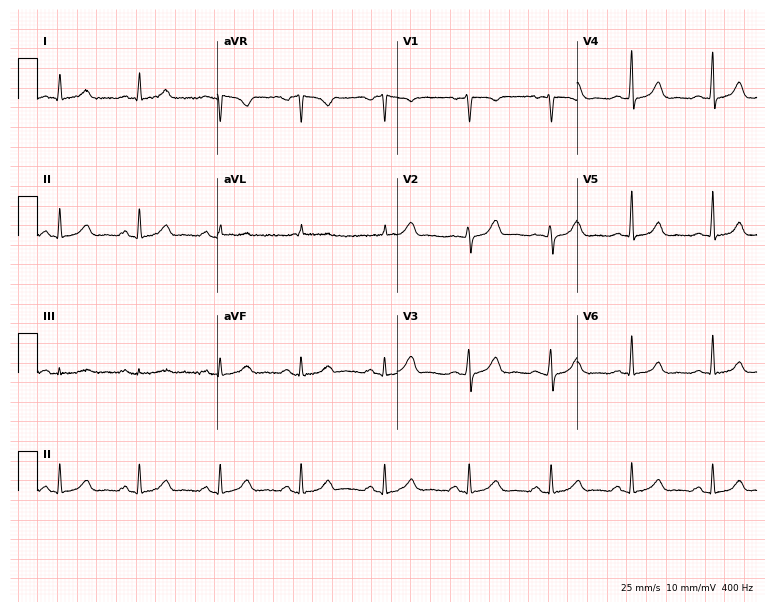
Electrocardiogram (7.3-second recording at 400 Hz), a 44-year-old woman. Of the six screened findings (first-degree AV block, right bundle branch block, left bundle branch block, sinus bradycardia, atrial fibrillation, sinus tachycardia), none is recorded. Findings outside these six are not listed.